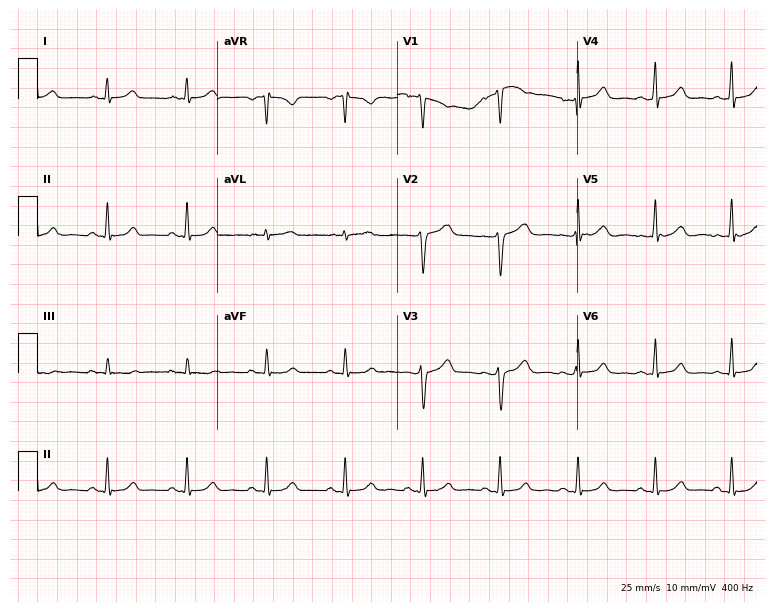
Resting 12-lead electrocardiogram. Patient: a 34-year-old woman. None of these six findings is recorded: first-degree AV block, right bundle branch block, left bundle branch block, sinus bradycardia, atrial fibrillation, sinus tachycardia. Findings outside these six are not listed.